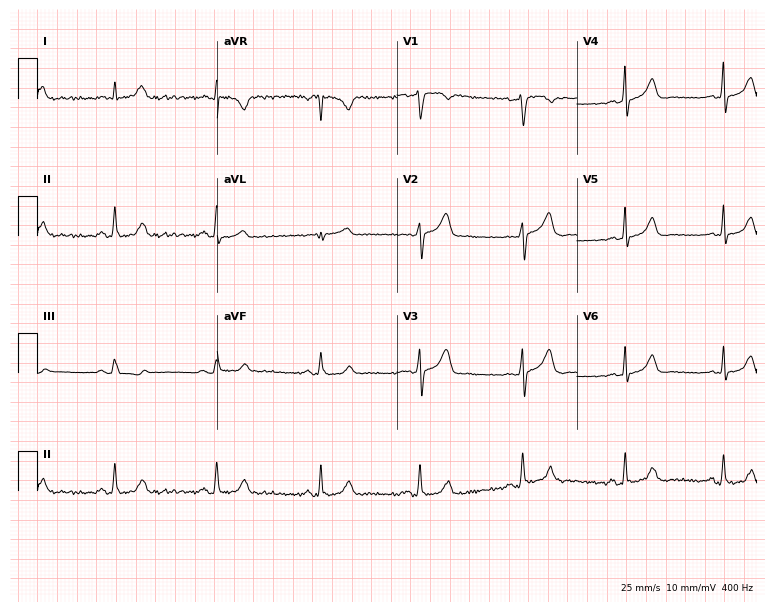
Electrocardiogram, a 42-year-old female patient. Of the six screened findings (first-degree AV block, right bundle branch block (RBBB), left bundle branch block (LBBB), sinus bradycardia, atrial fibrillation (AF), sinus tachycardia), none is recorded. Findings outside these six are not listed.